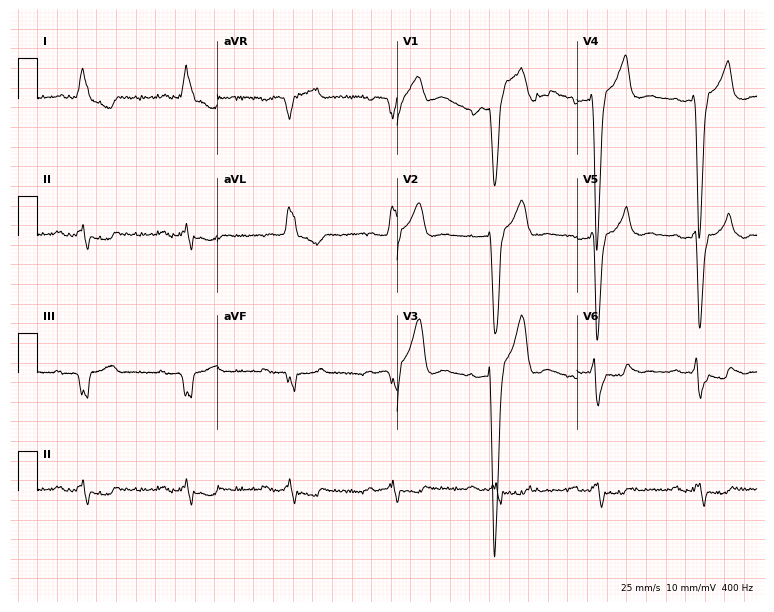
12-lead ECG from a male patient, 84 years old. Findings include left bundle branch block (LBBB).